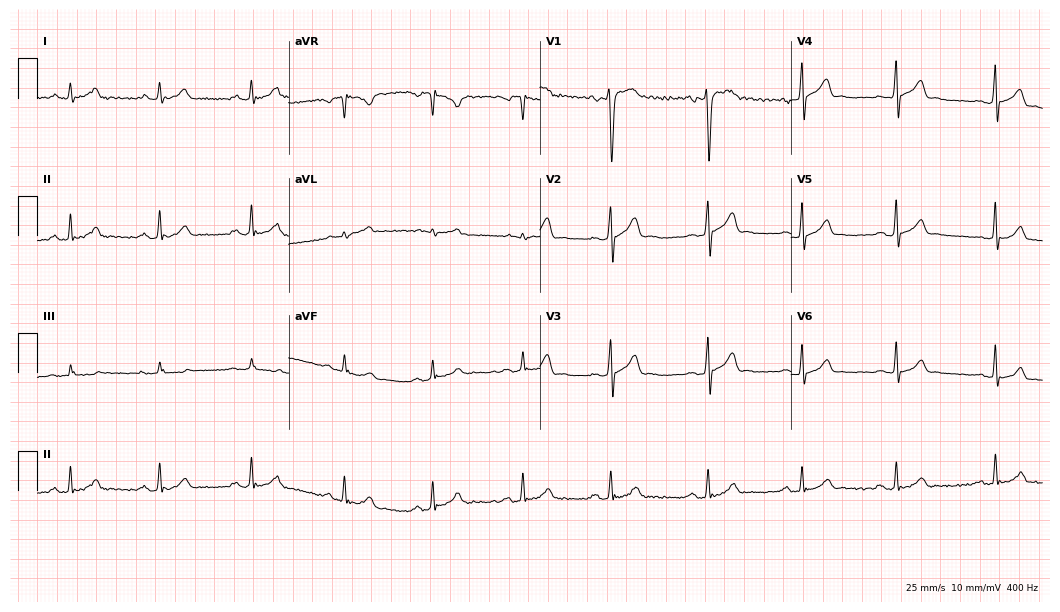
Standard 12-lead ECG recorded from a man, 34 years old. Read as a normal ECG.